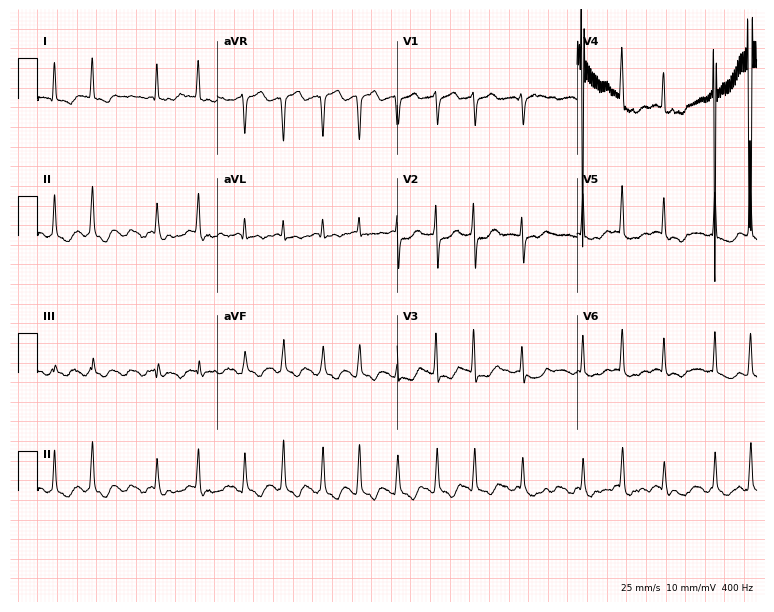
12-lead ECG (7.3-second recording at 400 Hz) from a female patient, 77 years old. Screened for six findings — first-degree AV block, right bundle branch block (RBBB), left bundle branch block (LBBB), sinus bradycardia, atrial fibrillation (AF), sinus tachycardia — none is recorded. Other findings, if any, are not listed.